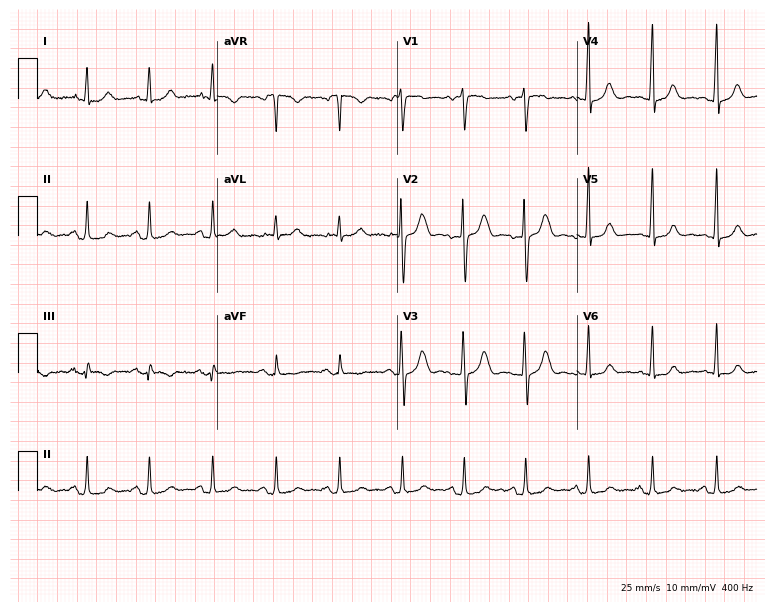
Resting 12-lead electrocardiogram. Patient: a female, 48 years old. None of these six findings is recorded: first-degree AV block, right bundle branch block, left bundle branch block, sinus bradycardia, atrial fibrillation, sinus tachycardia.